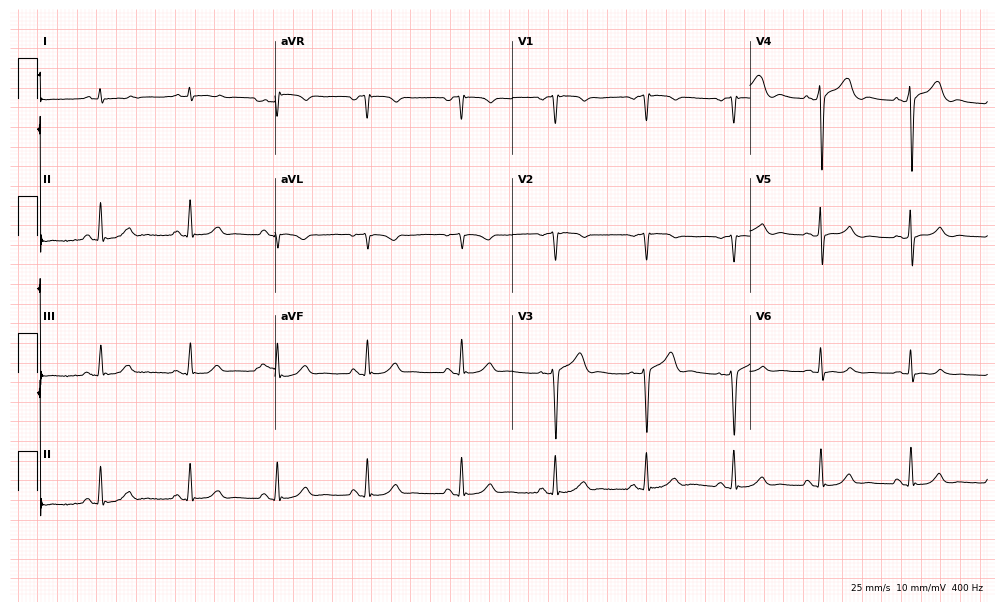
12-lead ECG from a male, 61 years old. No first-degree AV block, right bundle branch block (RBBB), left bundle branch block (LBBB), sinus bradycardia, atrial fibrillation (AF) or sinus tachycardia recorded for this tracing.